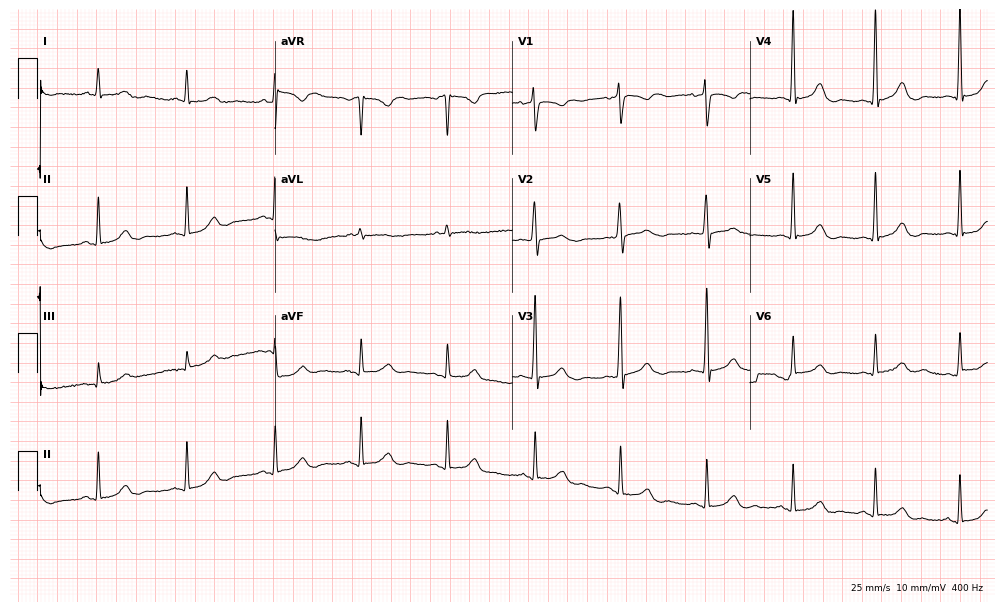
Electrocardiogram, a female patient, 72 years old. Overall reading on record: normal ECG.